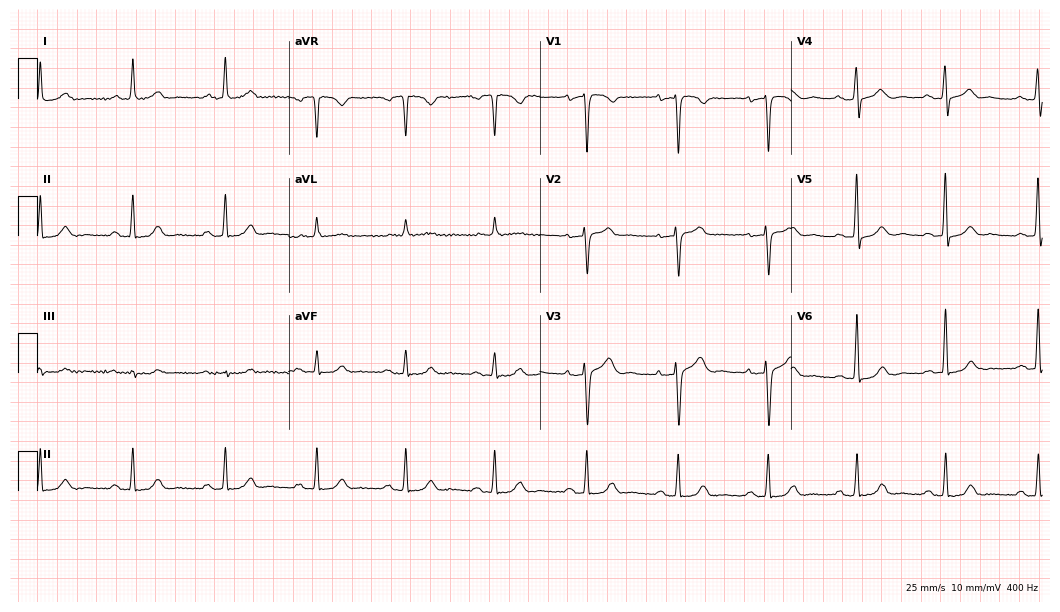
ECG — a male, 60 years old. Labelled as a normal ECG.